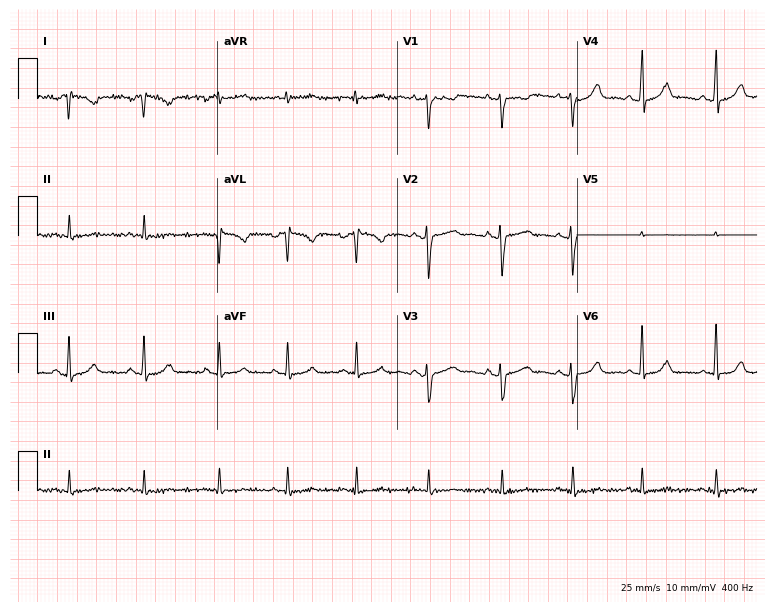
12-lead ECG from a 32-year-old female patient. No first-degree AV block, right bundle branch block, left bundle branch block, sinus bradycardia, atrial fibrillation or sinus tachycardia recorded for this tracing.